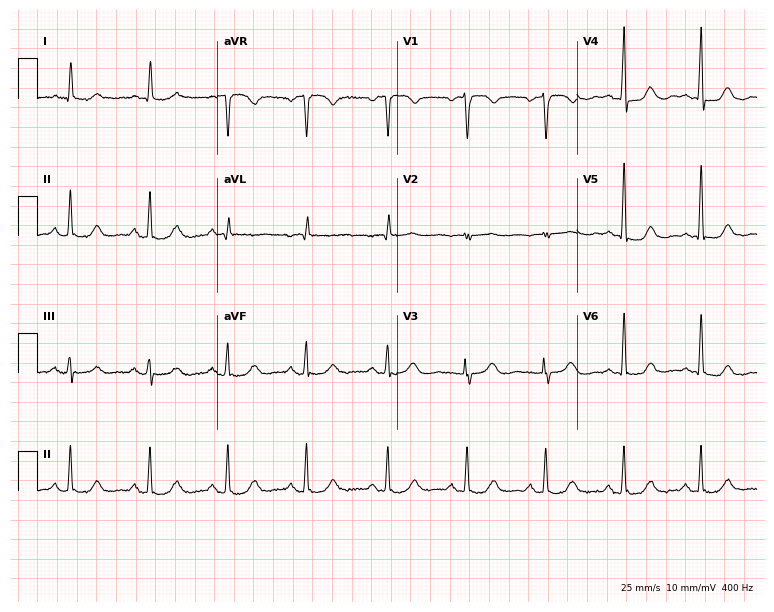
12-lead ECG from a 77-year-old female. No first-degree AV block, right bundle branch block, left bundle branch block, sinus bradycardia, atrial fibrillation or sinus tachycardia recorded for this tracing. Only these six findings were labelled.